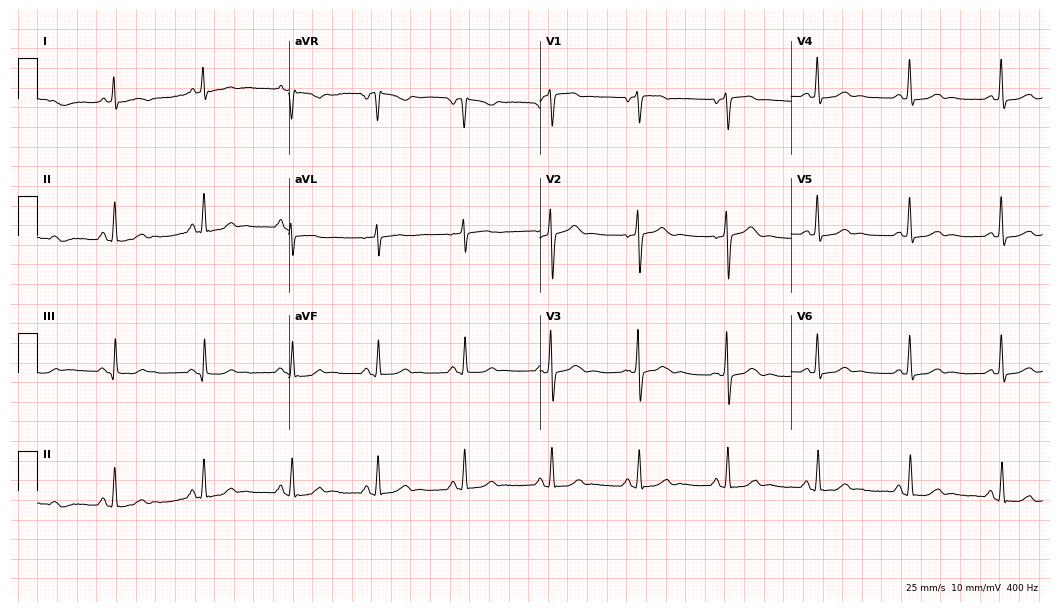
Electrocardiogram (10.2-second recording at 400 Hz), a female patient, 57 years old. Overall reading on record: normal ECG.